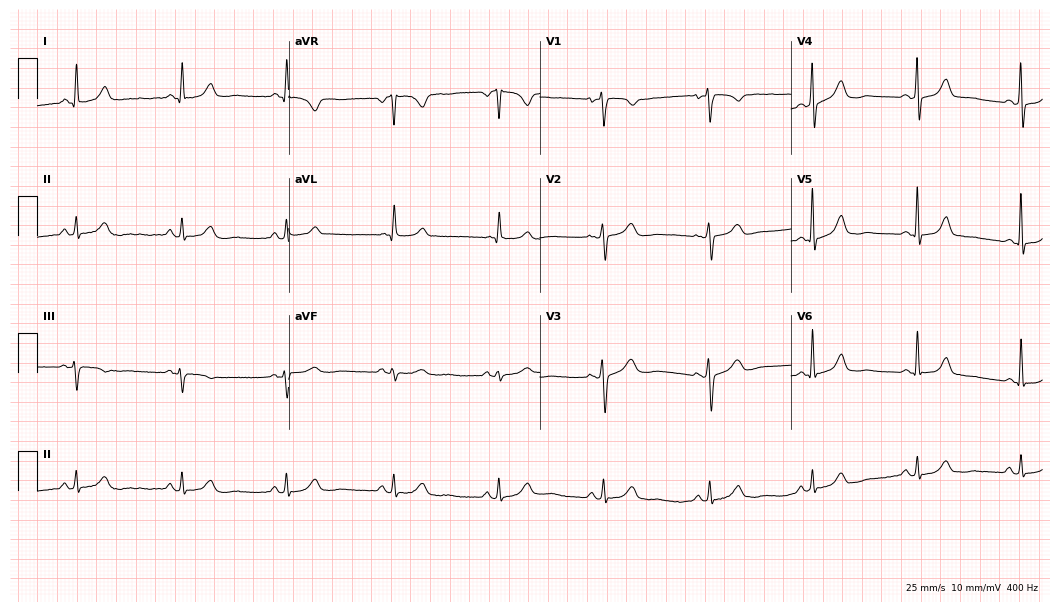
12-lead ECG from a 64-year-old female (10.2-second recording at 400 Hz). Recorded interpretation: within normal limits.